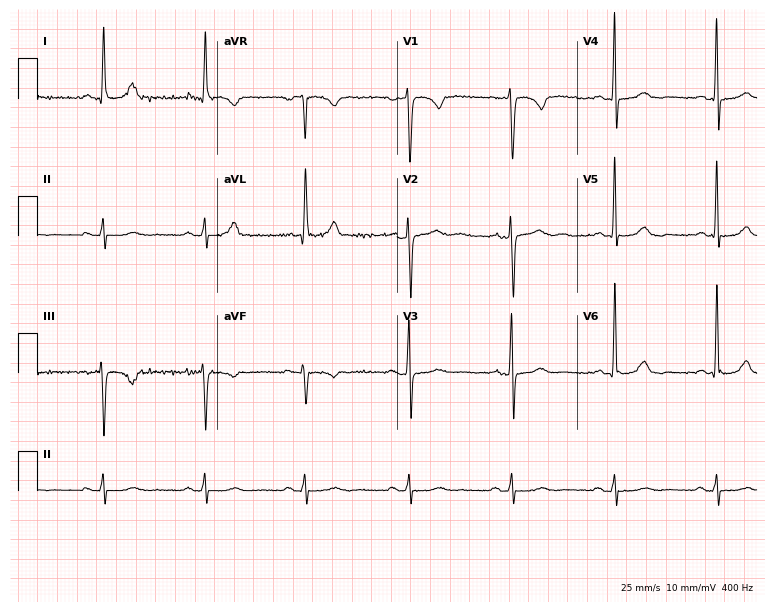
12-lead ECG (7.3-second recording at 400 Hz) from a 70-year-old female patient. Screened for six findings — first-degree AV block, right bundle branch block, left bundle branch block, sinus bradycardia, atrial fibrillation, sinus tachycardia — none is recorded.